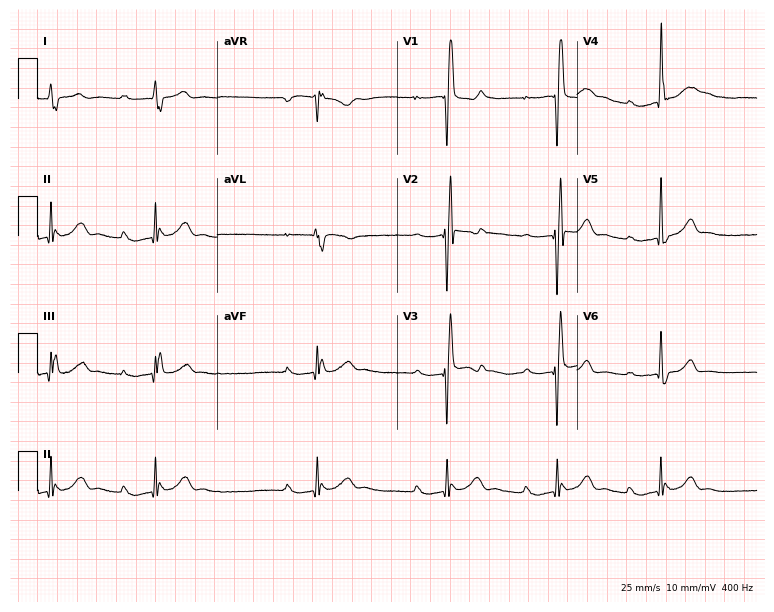
12-lead ECG from a man, 19 years old (7.3-second recording at 400 Hz). Shows first-degree AV block, right bundle branch block.